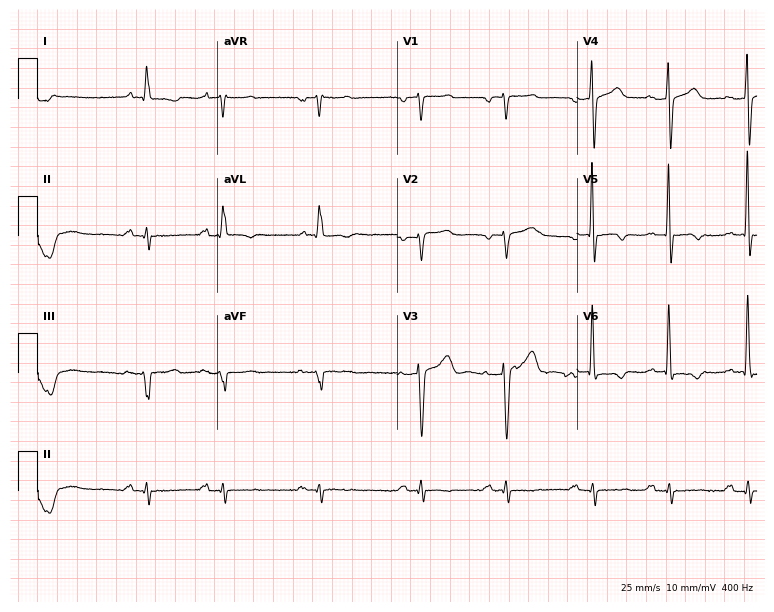
Standard 12-lead ECG recorded from an 85-year-old male patient. None of these six findings is recorded: first-degree AV block, right bundle branch block (RBBB), left bundle branch block (LBBB), sinus bradycardia, atrial fibrillation (AF), sinus tachycardia. Other findings, if any, are not listed.